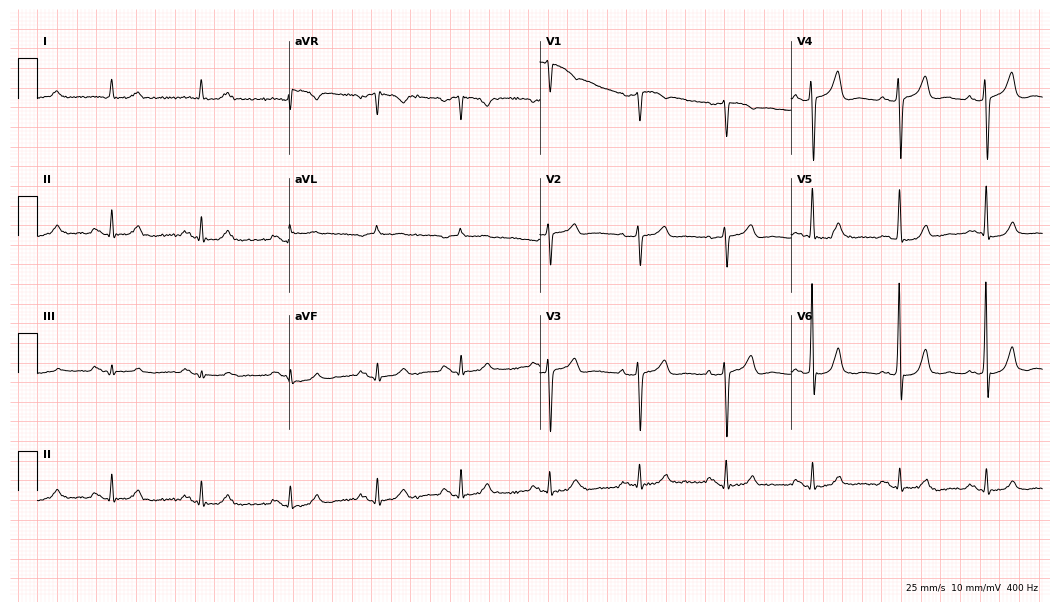
Standard 12-lead ECG recorded from an 81-year-old male patient. None of these six findings is recorded: first-degree AV block, right bundle branch block, left bundle branch block, sinus bradycardia, atrial fibrillation, sinus tachycardia.